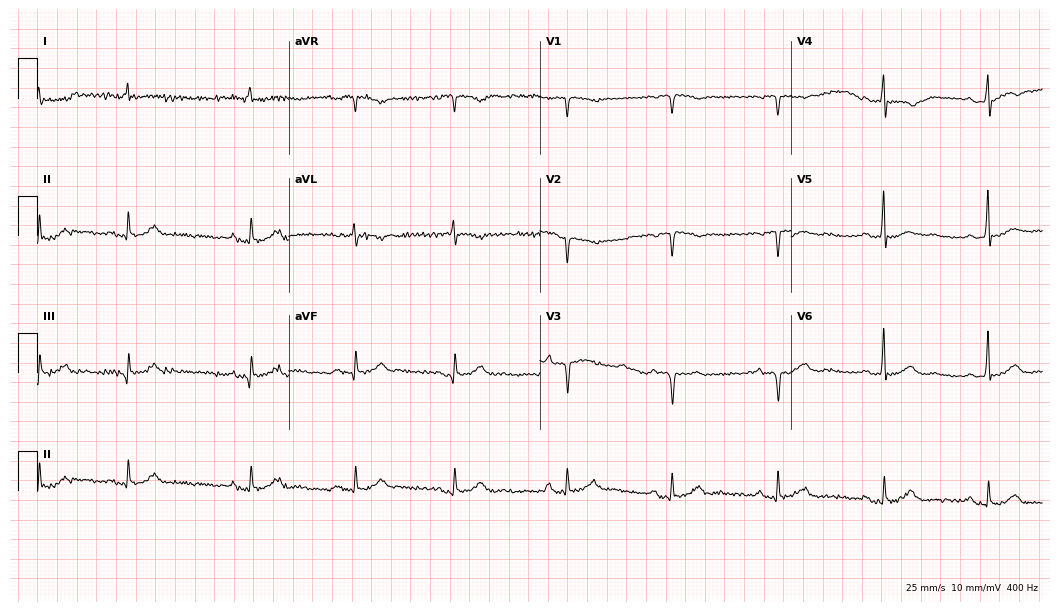
ECG — a 79-year-old male. Screened for six findings — first-degree AV block, right bundle branch block, left bundle branch block, sinus bradycardia, atrial fibrillation, sinus tachycardia — none is recorded. Findings outside these six are not listed.